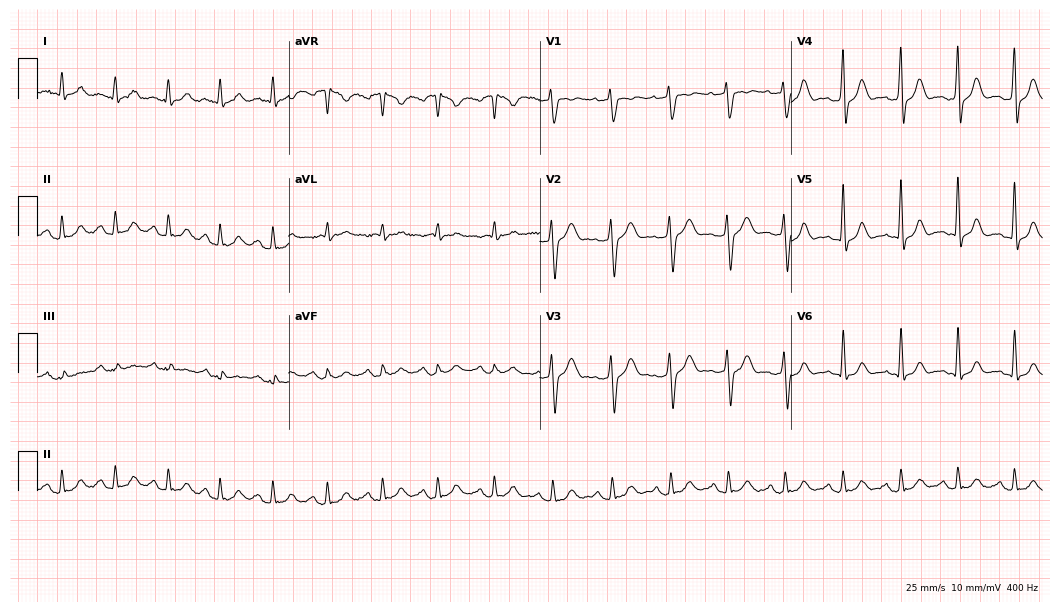
12-lead ECG from a man, 43 years old. Findings include sinus tachycardia (a sinus rate of 100 beats per minute or more).